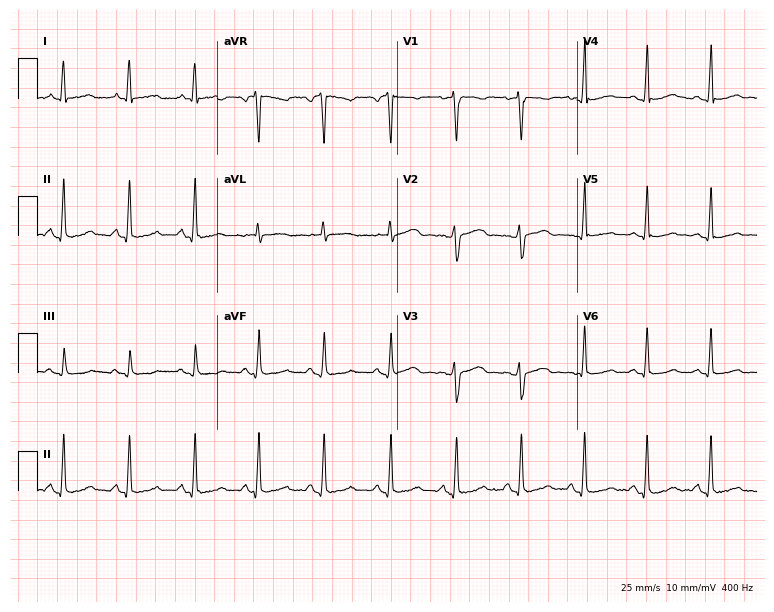
ECG (7.3-second recording at 400 Hz) — a female, 23 years old. Labelled as a normal ECG.